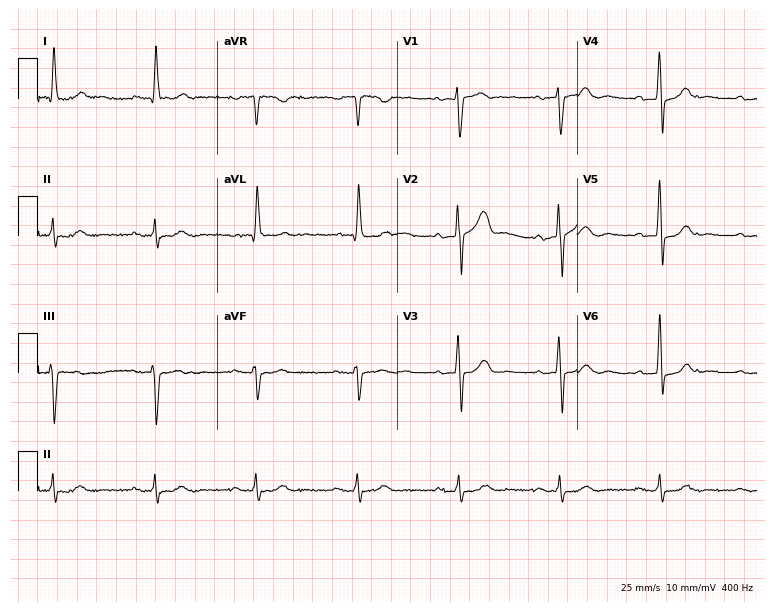
Resting 12-lead electrocardiogram (7.3-second recording at 400 Hz). Patient: a male, 72 years old. Read as a normal ECG.